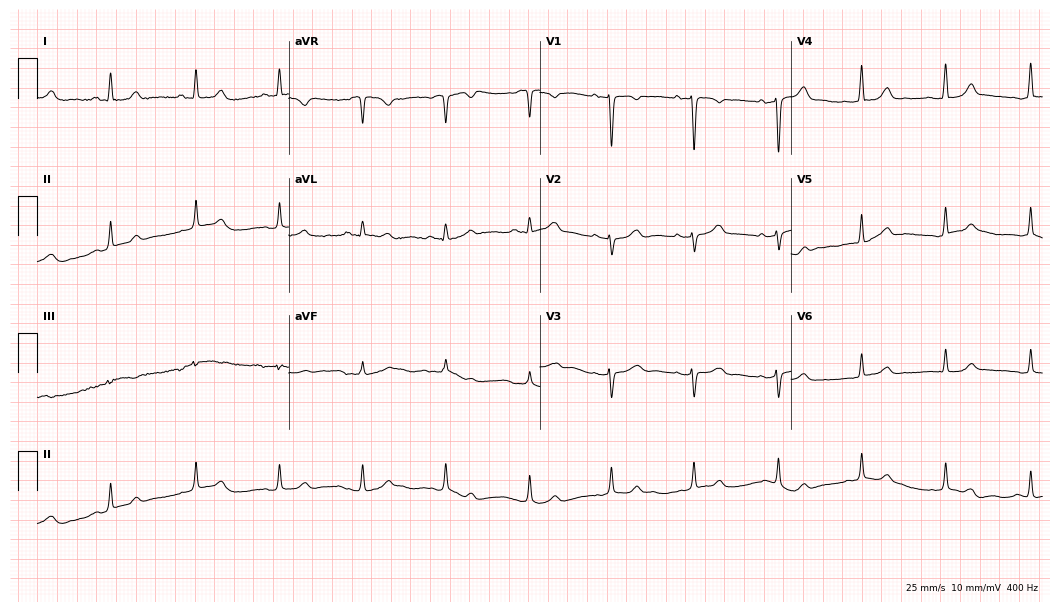
12-lead ECG from a female patient, 41 years old. No first-degree AV block, right bundle branch block (RBBB), left bundle branch block (LBBB), sinus bradycardia, atrial fibrillation (AF) or sinus tachycardia recorded for this tracing.